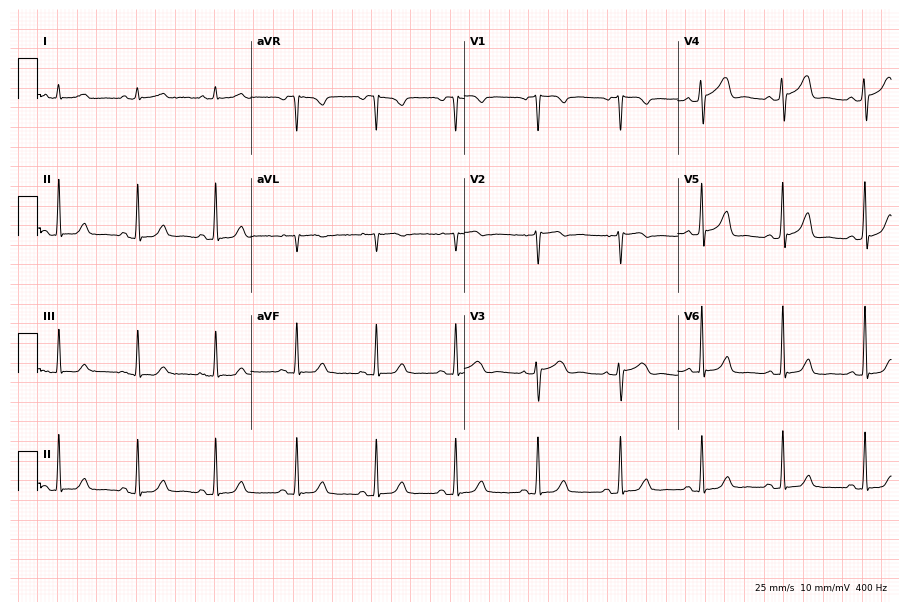
Resting 12-lead electrocardiogram (8.7-second recording at 400 Hz). Patient: a 59-year-old female. None of these six findings is recorded: first-degree AV block, right bundle branch block, left bundle branch block, sinus bradycardia, atrial fibrillation, sinus tachycardia.